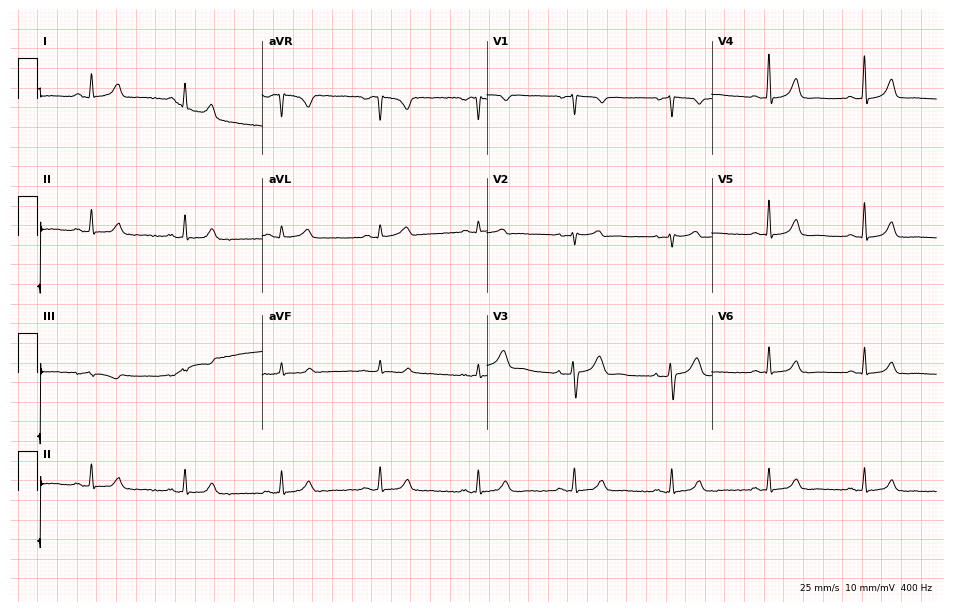
Standard 12-lead ECG recorded from a female patient, 47 years old. Read as a normal ECG.